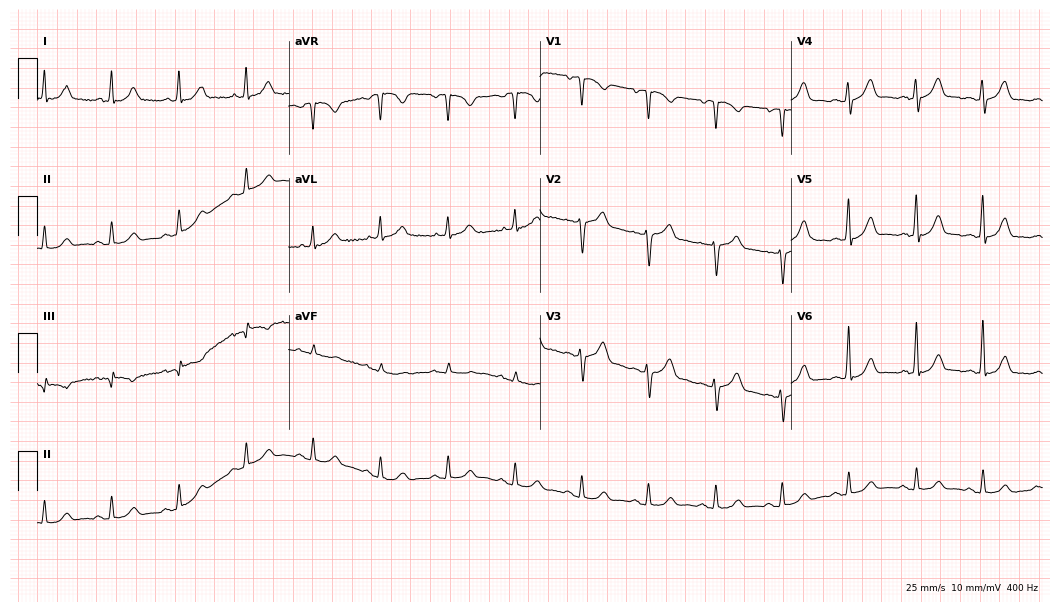
Electrocardiogram, a 73-year-old male. Overall reading on record: normal ECG.